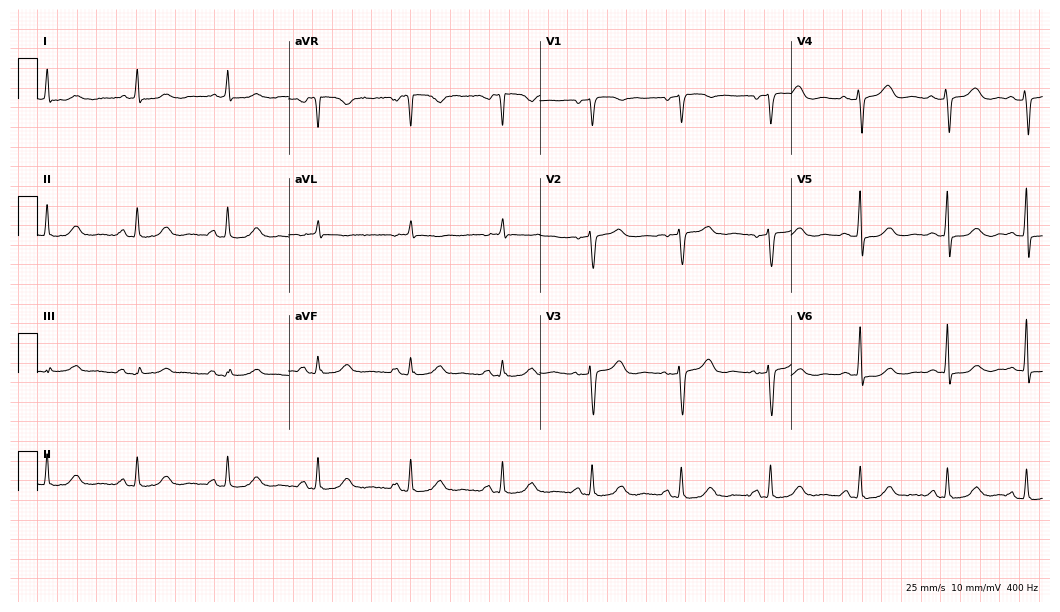
12-lead ECG from a 68-year-old woman. Screened for six findings — first-degree AV block, right bundle branch block (RBBB), left bundle branch block (LBBB), sinus bradycardia, atrial fibrillation (AF), sinus tachycardia — none is recorded.